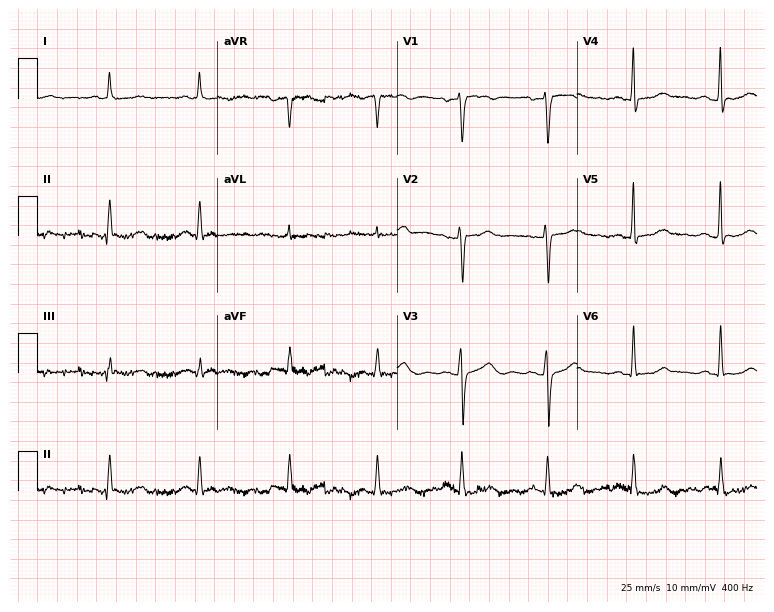
Electrocardiogram (7.3-second recording at 400 Hz), a female patient, 43 years old. Of the six screened findings (first-degree AV block, right bundle branch block (RBBB), left bundle branch block (LBBB), sinus bradycardia, atrial fibrillation (AF), sinus tachycardia), none is recorded. Other findings, if any, are not listed.